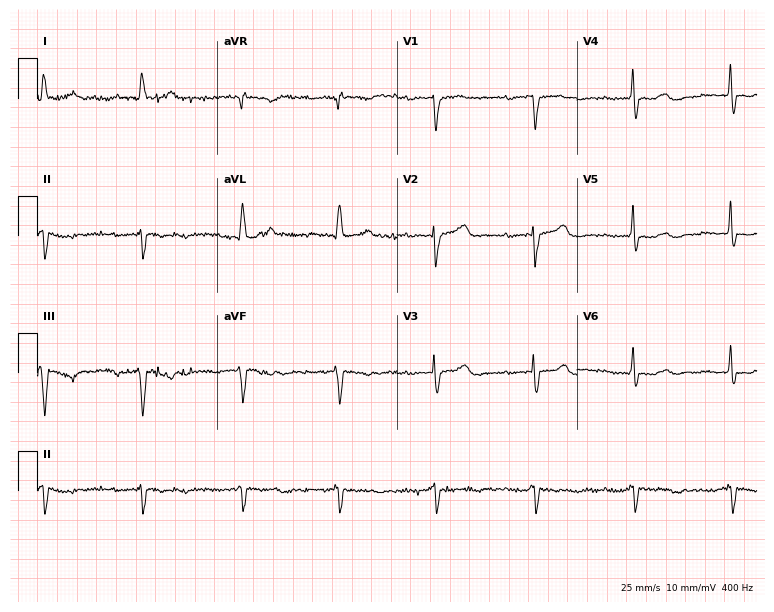
Electrocardiogram, a female patient, 79 years old. Interpretation includes first-degree AV block.